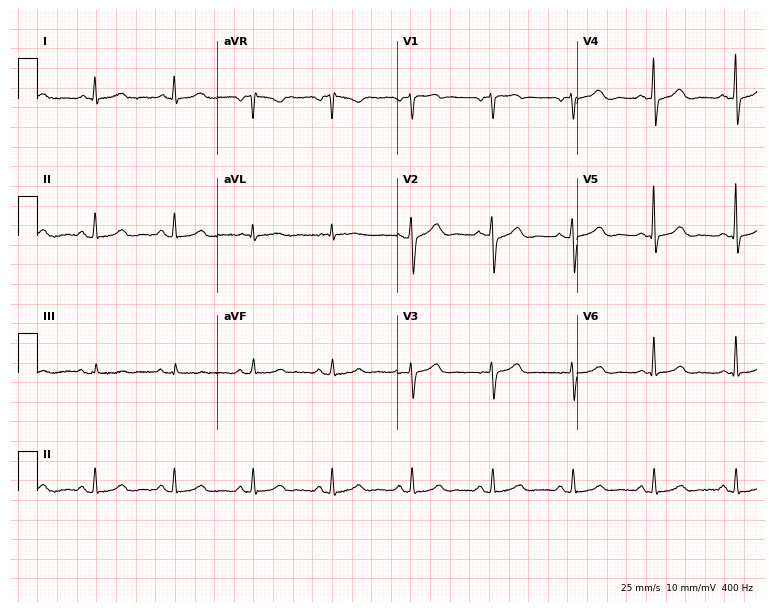
Resting 12-lead electrocardiogram (7.3-second recording at 400 Hz). Patient: a 75-year-old male. Read as a normal ECG.